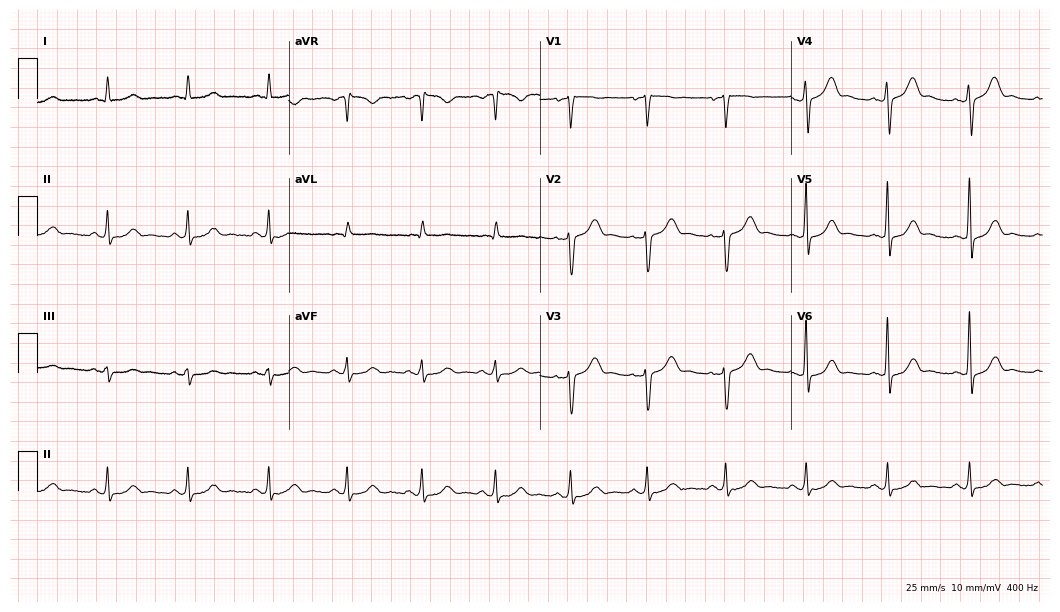
12-lead ECG (10.2-second recording at 400 Hz) from a man, 68 years old. Labelled as a normal ECG.